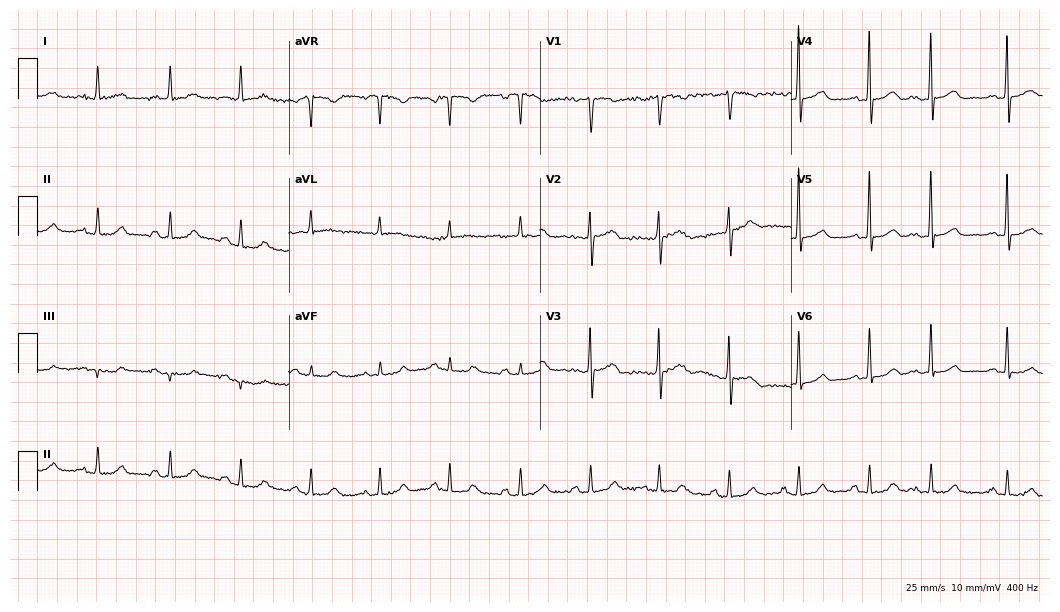
12-lead ECG from a woman, 79 years old. Screened for six findings — first-degree AV block, right bundle branch block (RBBB), left bundle branch block (LBBB), sinus bradycardia, atrial fibrillation (AF), sinus tachycardia — none is recorded.